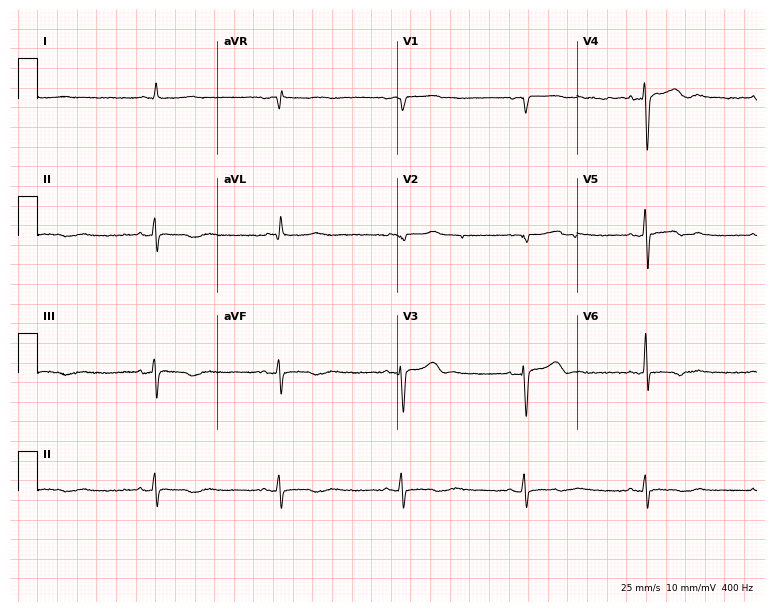
Electrocardiogram, a 52-year-old male patient. Interpretation includes sinus bradycardia (a sinus rate of 50 beats per minute or less).